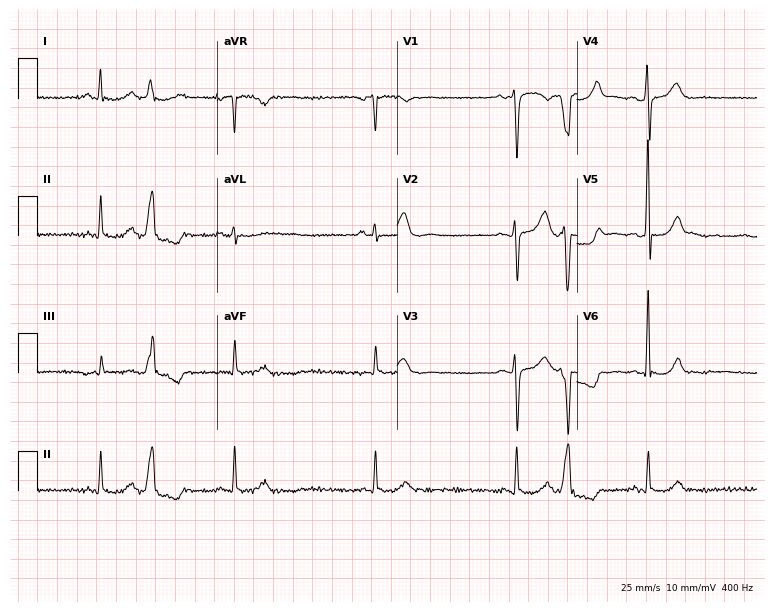
Resting 12-lead electrocardiogram. Patient: a male, 72 years old. None of these six findings is recorded: first-degree AV block, right bundle branch block, left bundle branch block, sinus bradycardia, atrial fibrillation, sinus tachycardia. Other findings, if any, are not listed.